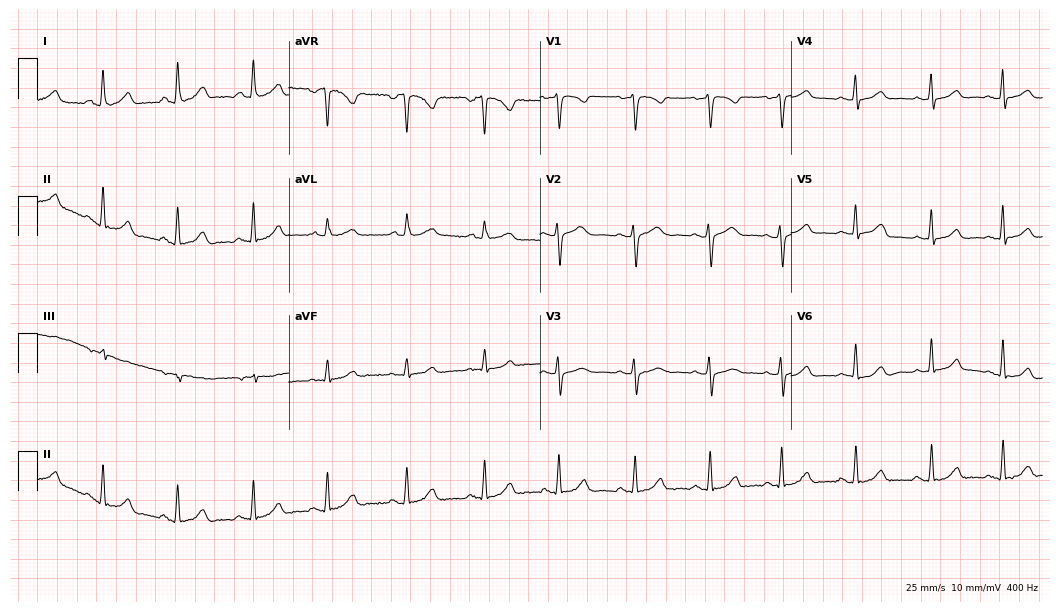
Electrocardiogram, a 44-year-old man. Overall reading on record: normal ECG.